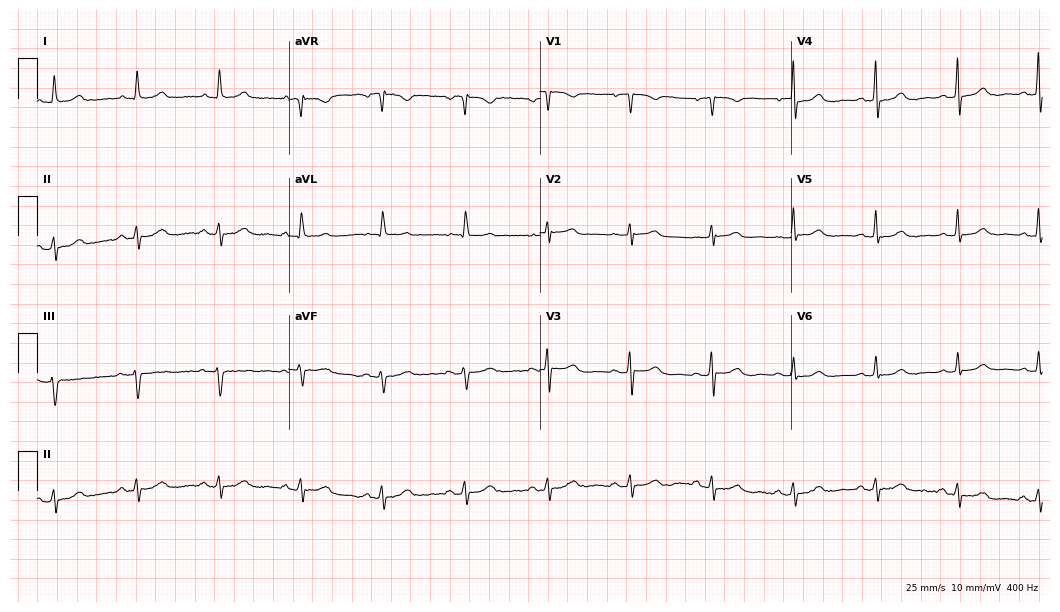
Standard 12-lead ECG recorded from a female patient, 73 years old (10.2-second recording at 400 Hz). Read as a normal ECG.